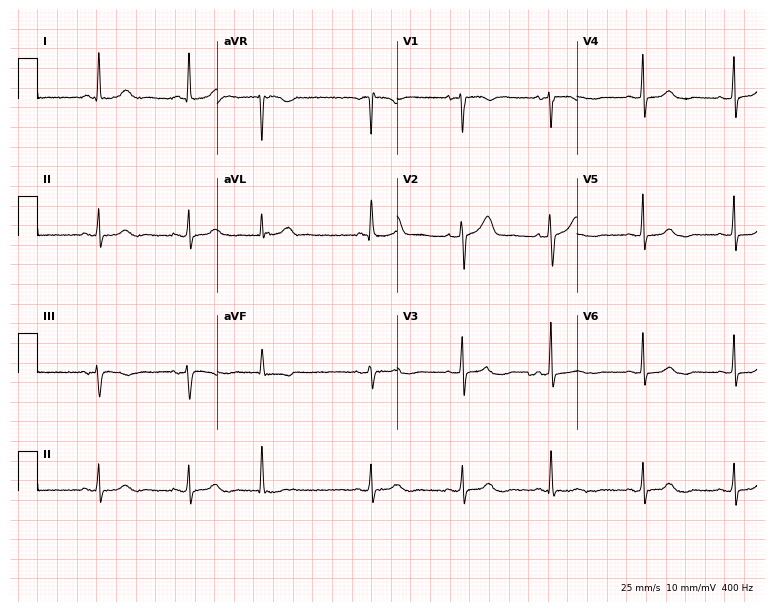
12-lead ECG from a woman, 71 years old (7.3-second recording at 400 Hz). No first-degree AV block, right bundle branch block, left bundle branch block, sinus bradycardia, atrial fibrillation or sinus tachycardia recorded for this tracing.